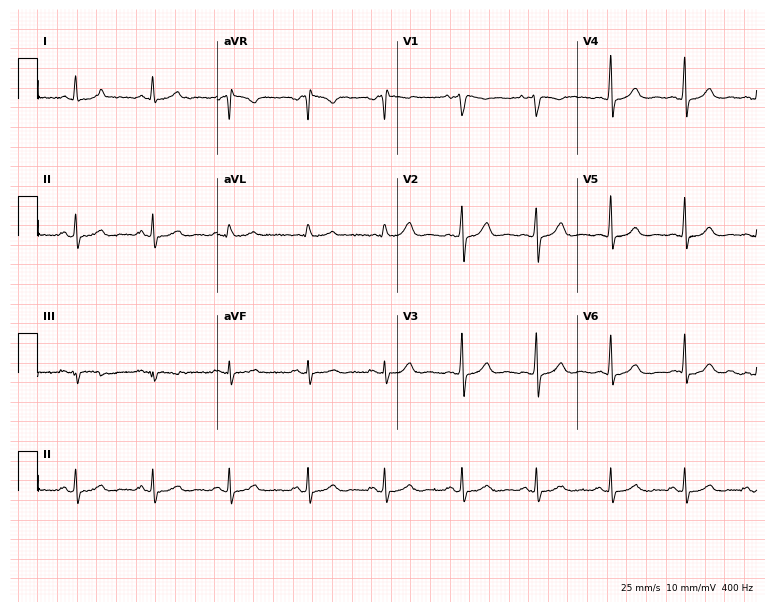
Electrocardiogram, a woman, 51 years old. Overall reading on record: normal ECG.